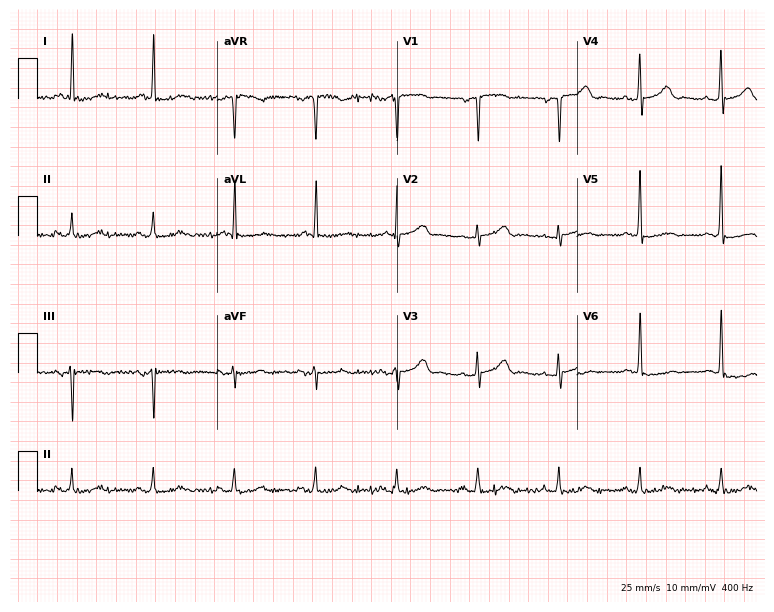
Standard 12-lead ECG recorded from a female, 77 years old. None of these six findings is recorded: first-degree AV block, right bundle branch block, left bundle branch block, sinus bradycardia, atrial fibrillation, sinus tachycardia. Findings outside these six are not listed.